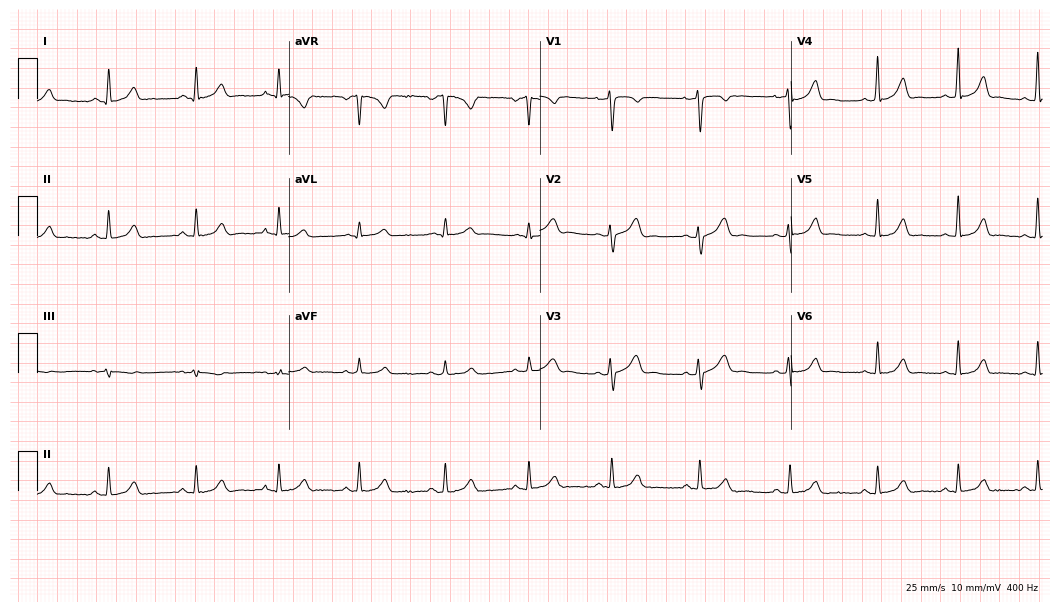
ECG — a 22-year-old female patient. Labelled as a normal ECG.